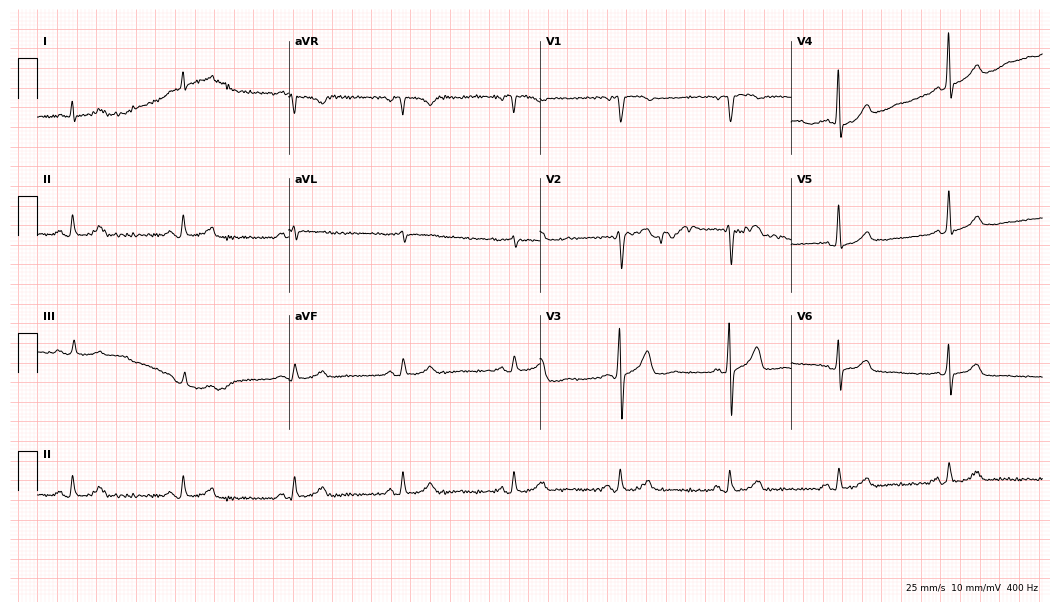
12-lead ECG from a 75-year-old male patient. Recorded interpretation: within normal limits.